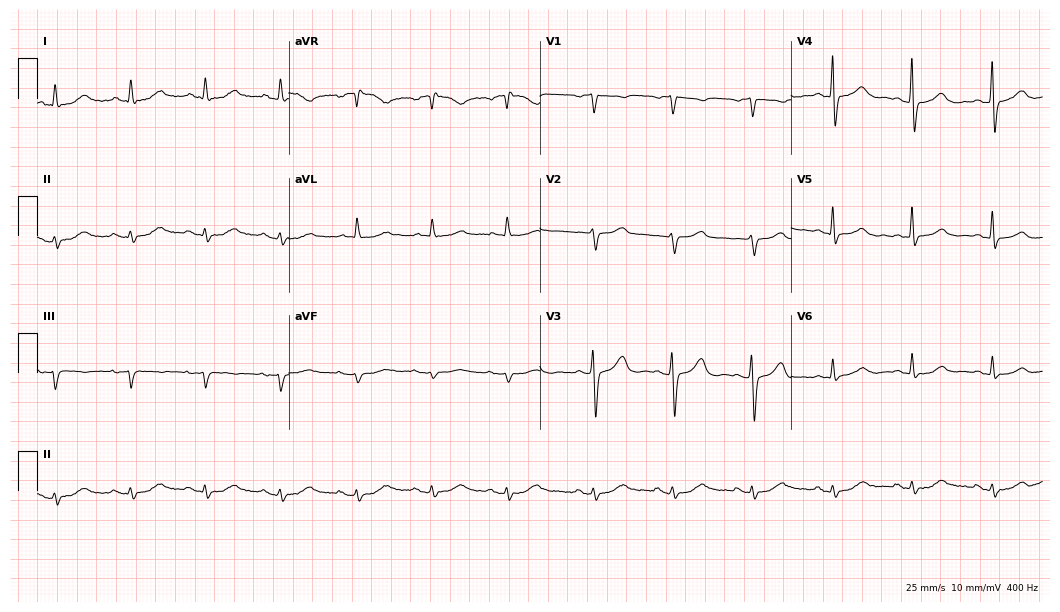
12-lead ECG from a 77-year-old female patient. Screened for six findings — first-degree AV block, right bundle branch block, left bundle branch block, sinus bradycardia, atrial fibrillation, sinus tachycardia — none is recorded. Findings outside these six are not listed.